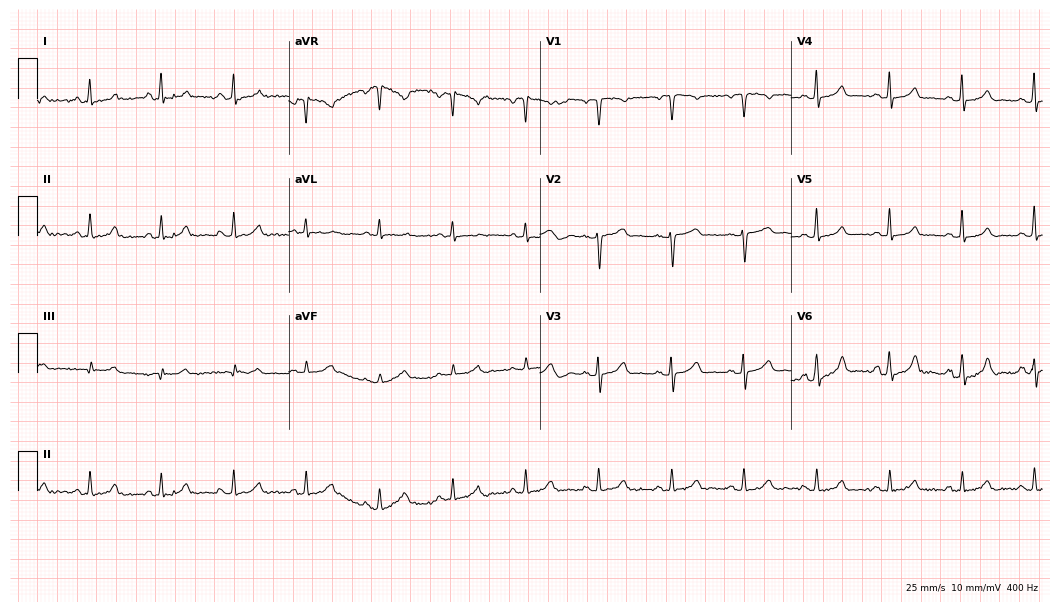
ECG — a woman, 69 years old. Labelled as a normal ECG.